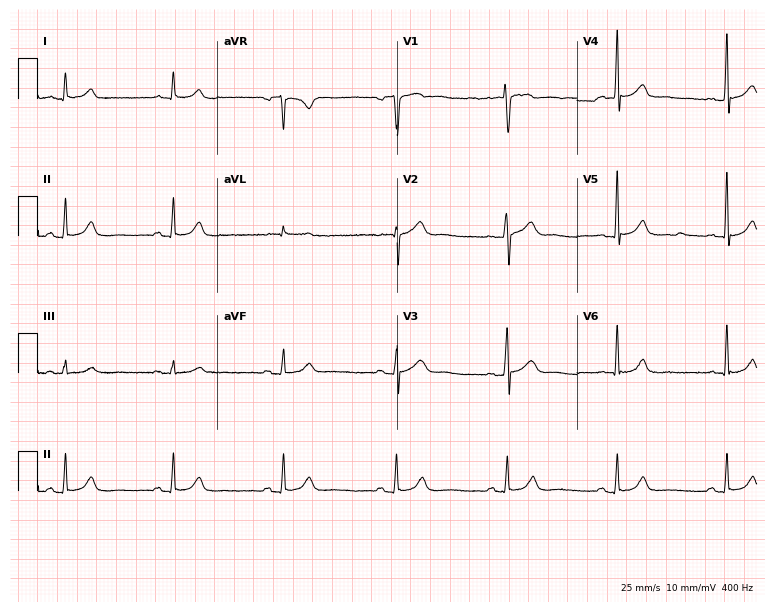
12-lead ECG from a male patient, 63 years old. Recorded interpretation: within normal limits.